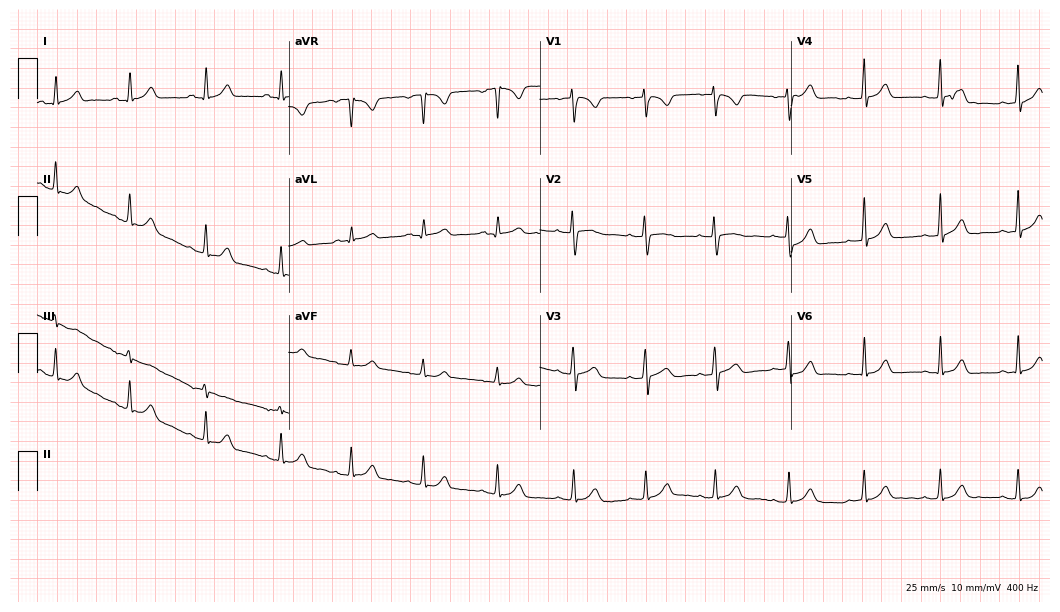
12-lead ECG (10.2-second recording at 400 Hz) from a 38-year-old female patient. Screened for six findings — first-degree AV block, right bundle branch block, left bundle branch block, sinus bradycardia, atrial fibrillation, sinus tachycardia — none is recorded. Only these six findings were labelled.